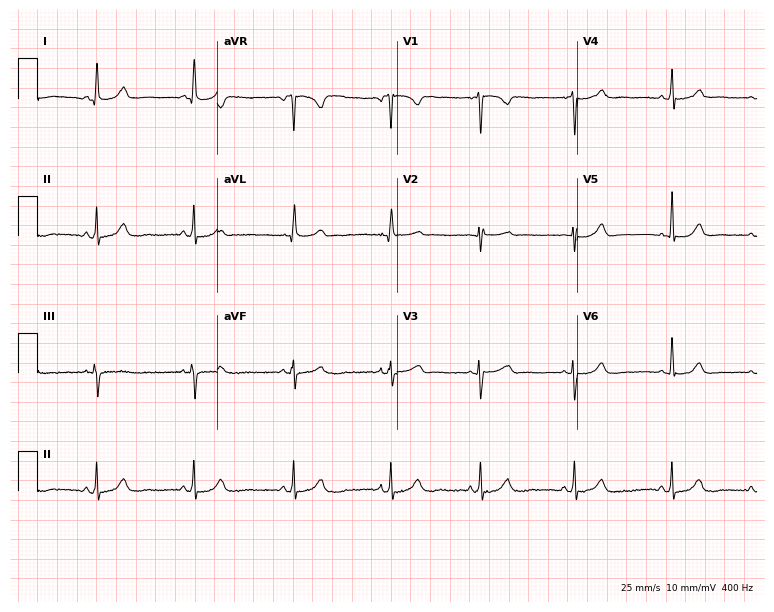
Standard 12-lead ECG recorded from a female, 43 years old (7.3-second recording at 400 Hz). None of these six findings is recorded: first-degree AV block, right bundle branch block, left bundle branch block, sinus bradycardia, atrial fibrillation, sinus tachycardia. Findings outside these six are not listed.